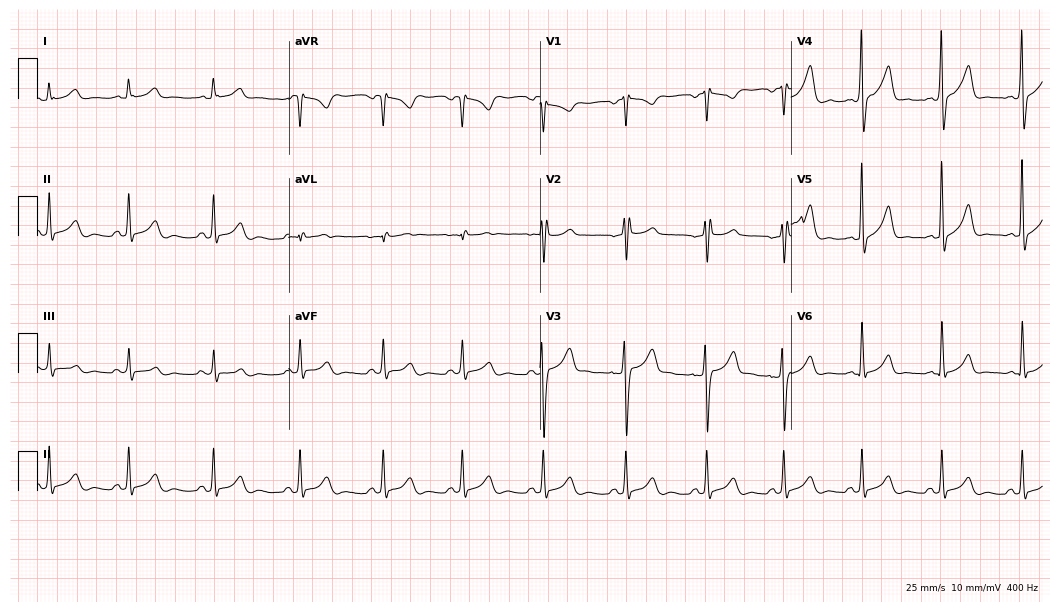
Resting 12-lead electrocardiogram (10.2-second recording at 400 Hz). Patient: a 20-year-old male. None of these six findings is recorded: first-degree AV block, right bundle branch block (RBBB), left bundle branch block (LBBB), sinus bradycardia, atrial fibrillation (AF), sinus tachycardia. Other findings, if any, are not listed.